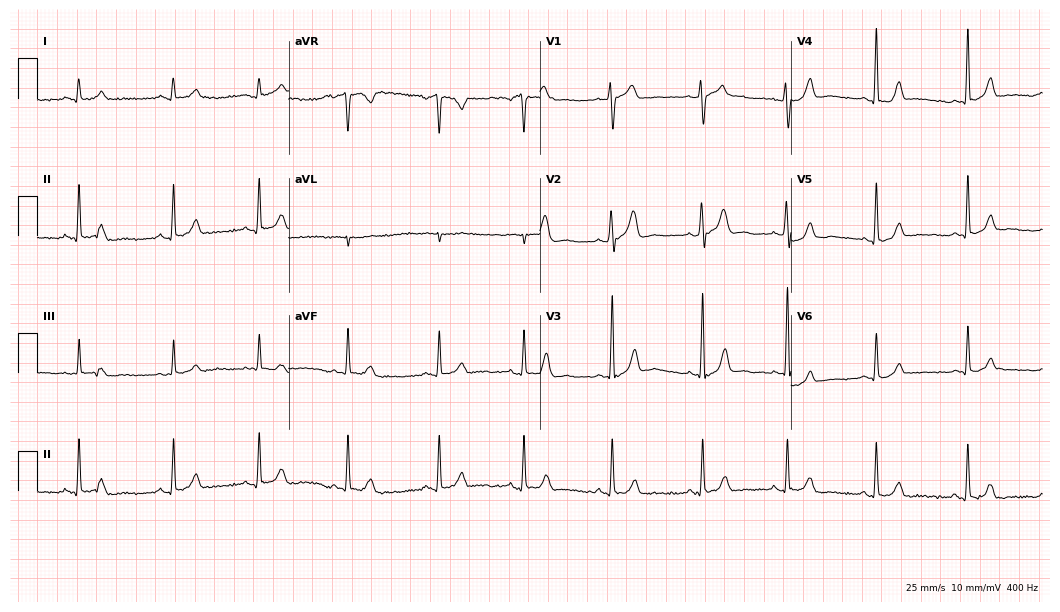
12-lead ECG from a 34-year-old female patient. Labelled as a normal ECG.